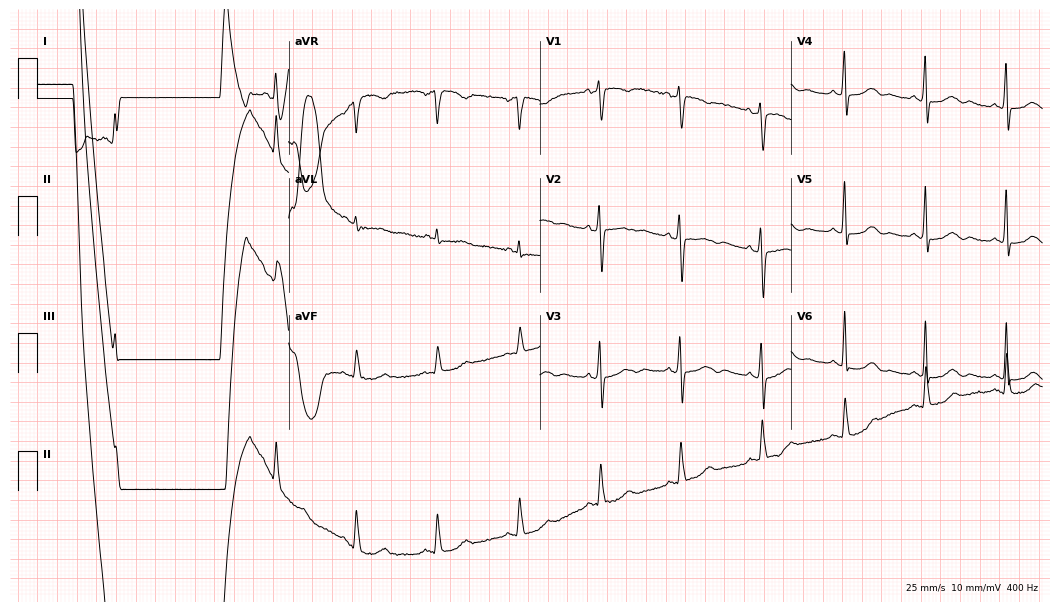
12-lead ECG (10.2-second recording at 400 Hz) from a 63-year-old female patient. Screened for six findings — first-degree AV block, right bundle branch block, left bundle branch block, sinus bradycardia, atrial fibrillation, sinus tachycardia — none is recorded. Other findings, if any, are not listed.